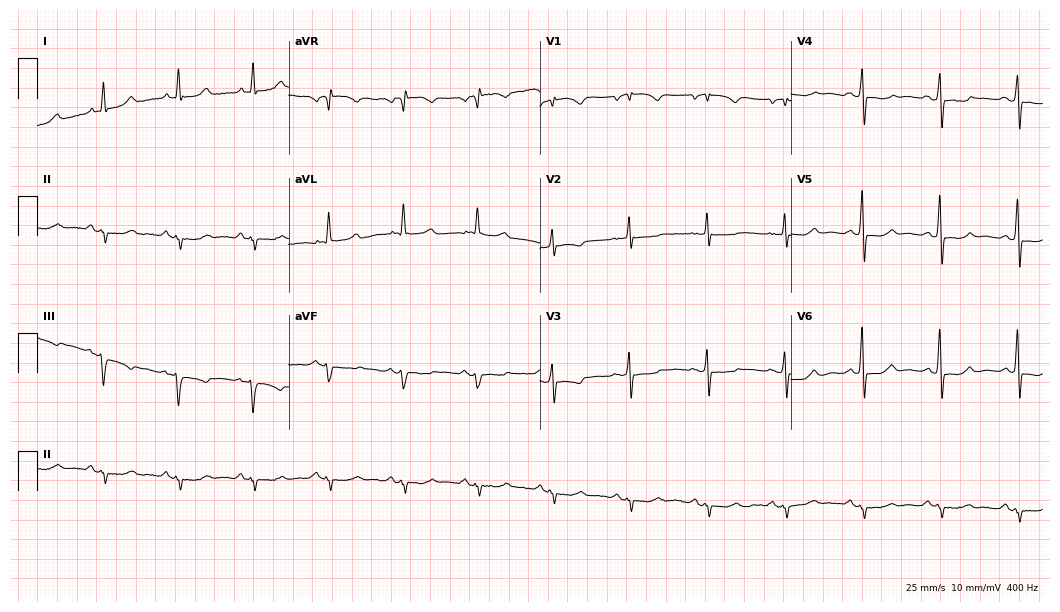
12-lead ECG from a man, 67 years old. No first-degree AV block, right bundle branch block (RBBB), left bundle branch block (LBBB), sinus bradycardia, atrial fibrillation (AF) or sinus tachycardia recorded for this tracing. Findings outside these six are not listed.